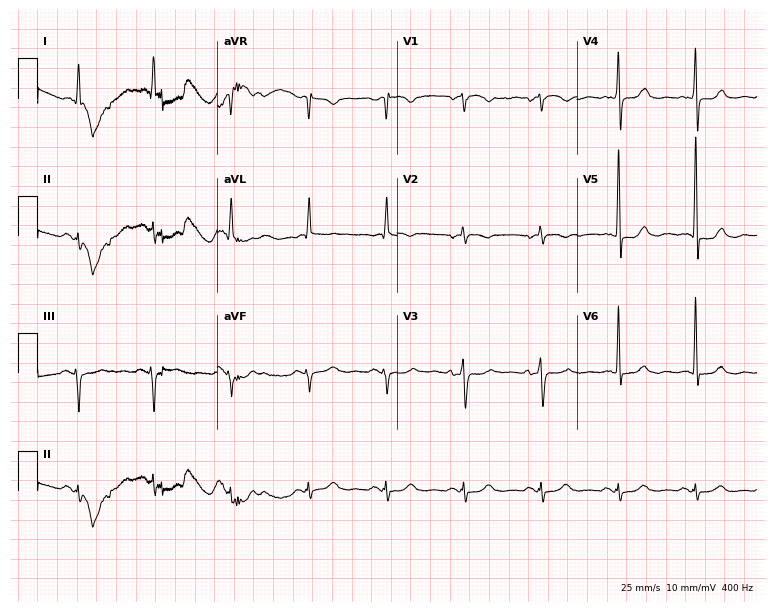
Standard 12-lead ECG recorded from a female patient, 81 years old. Read as a normal ECG.